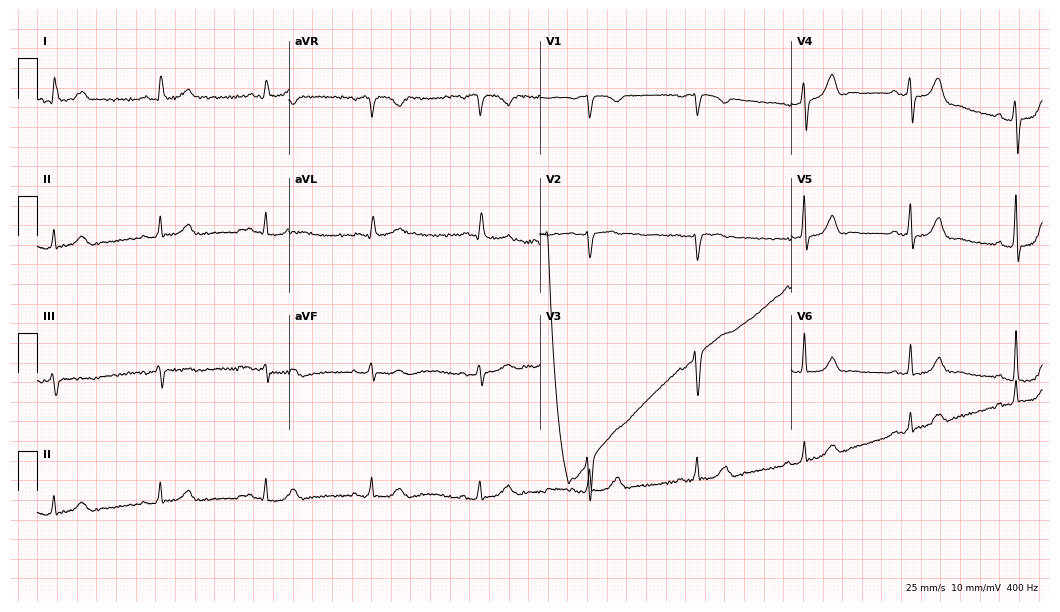
12-lead ECG from an 83-year-old male patient (10.2-second recording at 400 Hz). No first-degree AV block, right bundle branch block (RBBB), left bundle branch block (LBBB), sinus bradycardia, atrial fibrillation (AF) or sinus tachycardia recorded for this tracing. Findings outside these six are not listed.